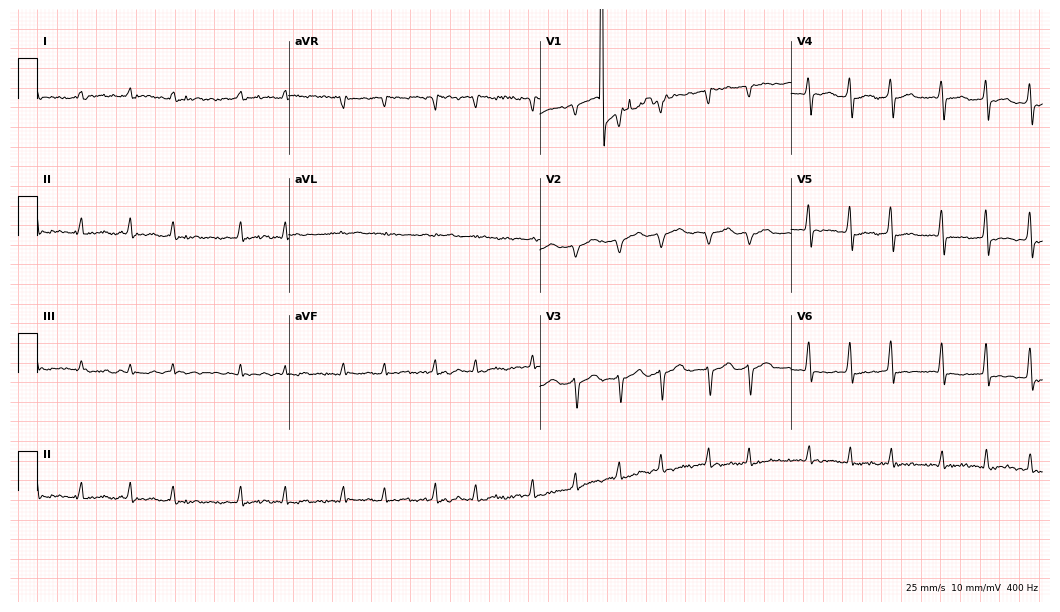
12-lead ECG from a 63-year-old female. Shows atrial fibrillation.